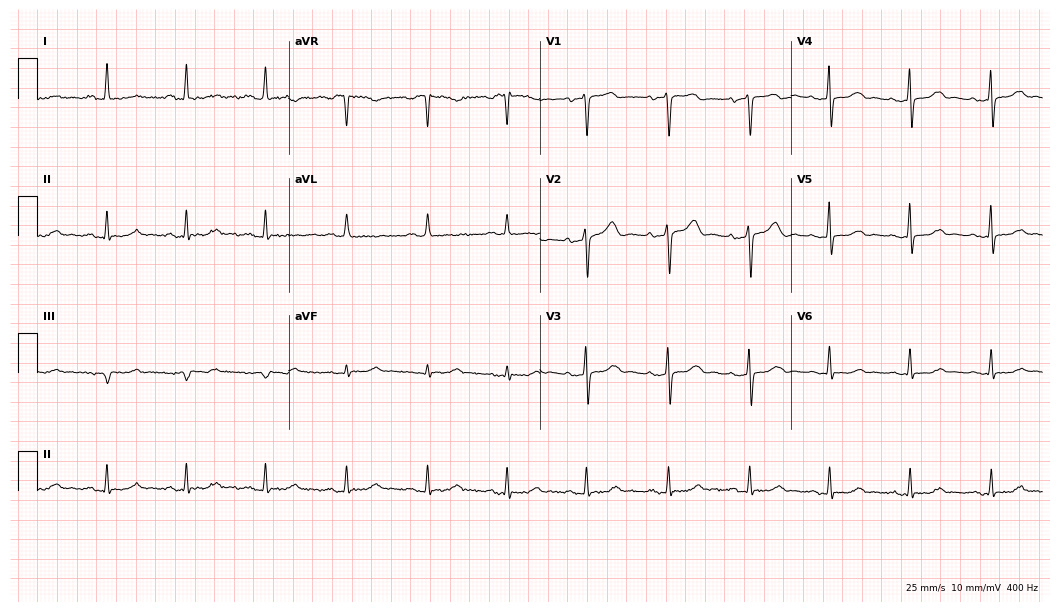
12-lead ECG (10.2-second recording at 400 Hz) from a woman, 59 years old. Labelled as a normal ECG.